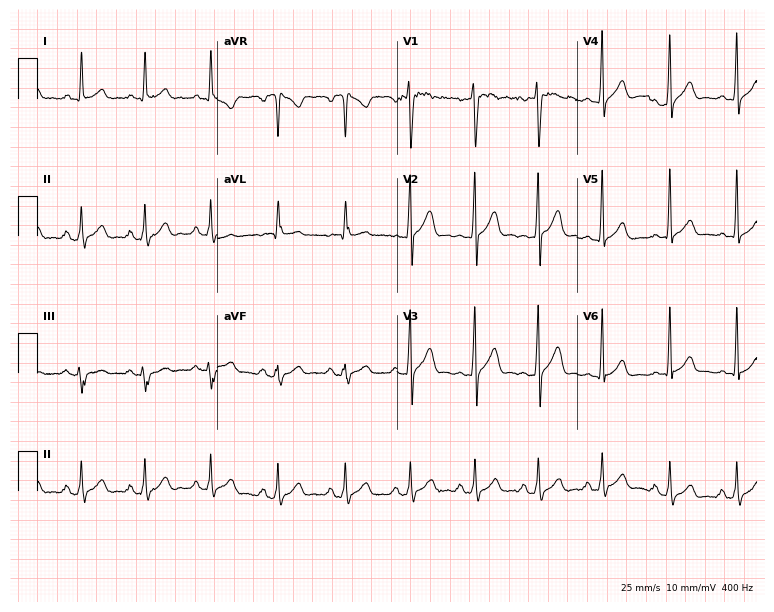
Resting 12-lead electrocardiogram (7.3-second recording at 400 Hz). Patient: a male, 29 years old. Read as a normal ECG.